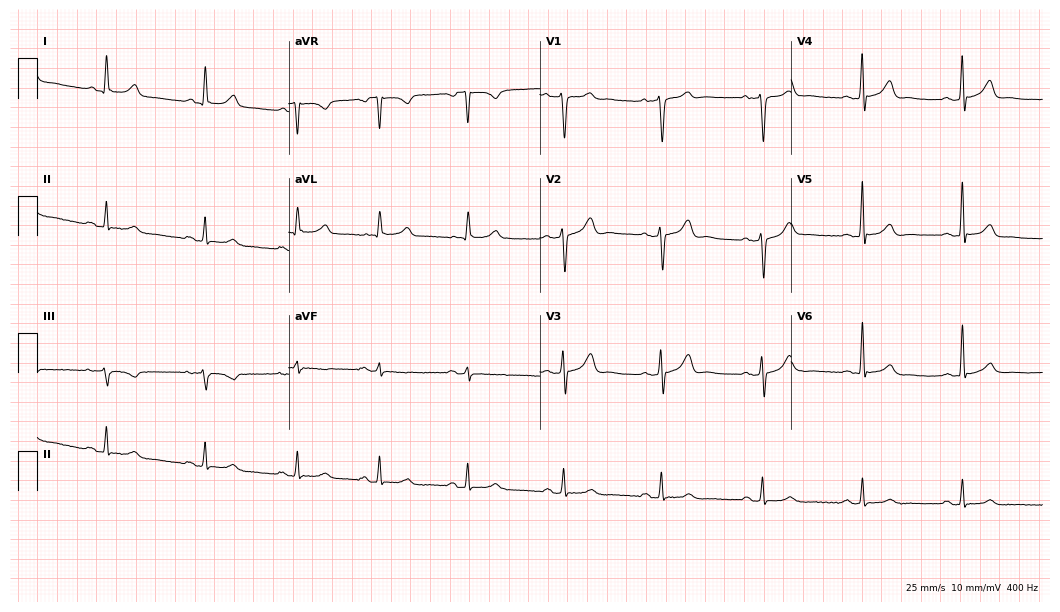
Electrocardiogram (10.2-second recording at 400 Hz), a man, 50 years old. Overall reading on record: normal ECG.